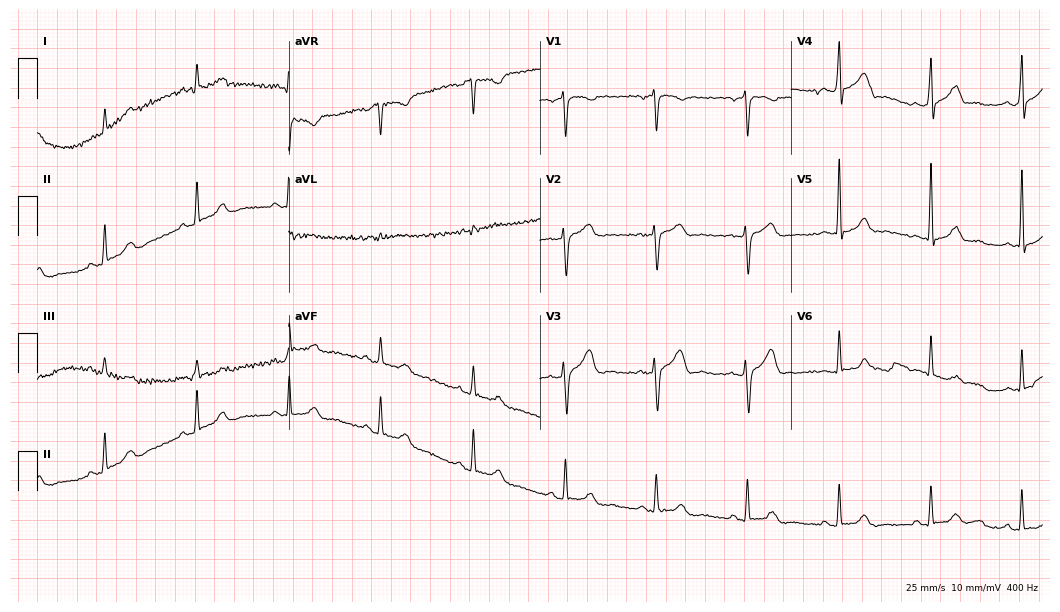
ECG — a male, 57 years old. Labelled as a normal ECG.